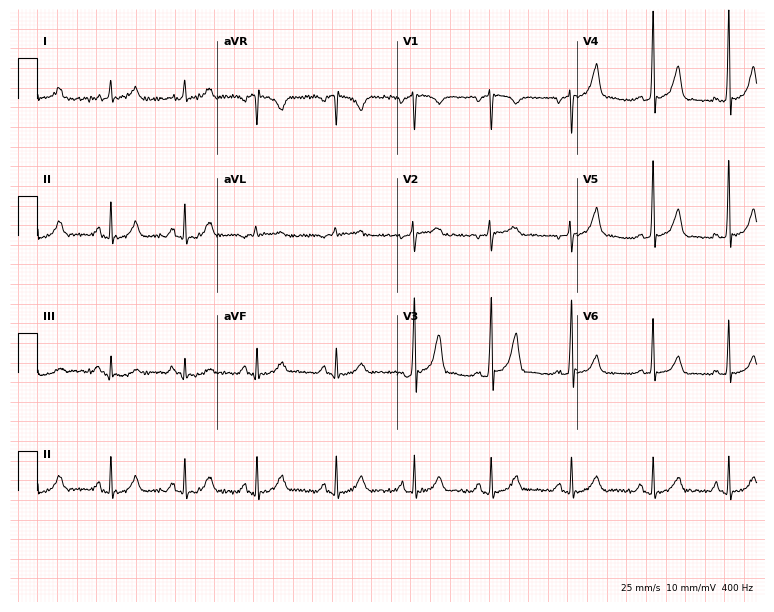
Resting 12-lead electrocardiogram (7.3-second recording at 400 Hz). Patient: a 54-year-old male. Read as a normal ECG.